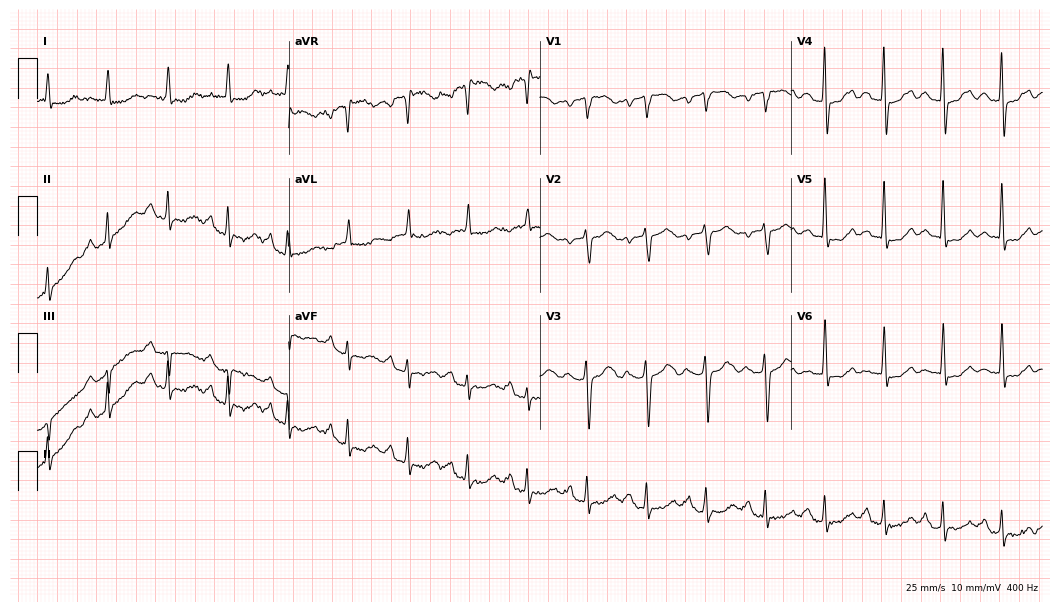
12-lead ECG from a female patient, 81 years old. Shows first-degree AV block.